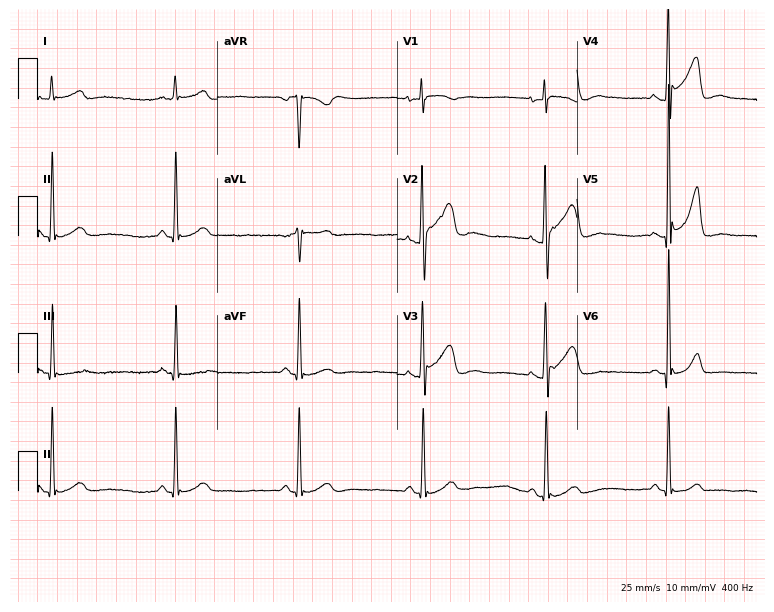
Electrocardiogram (7.3-second recording at 400 Hz), a 52-year-old male. Overall reading on record: normal ECG.